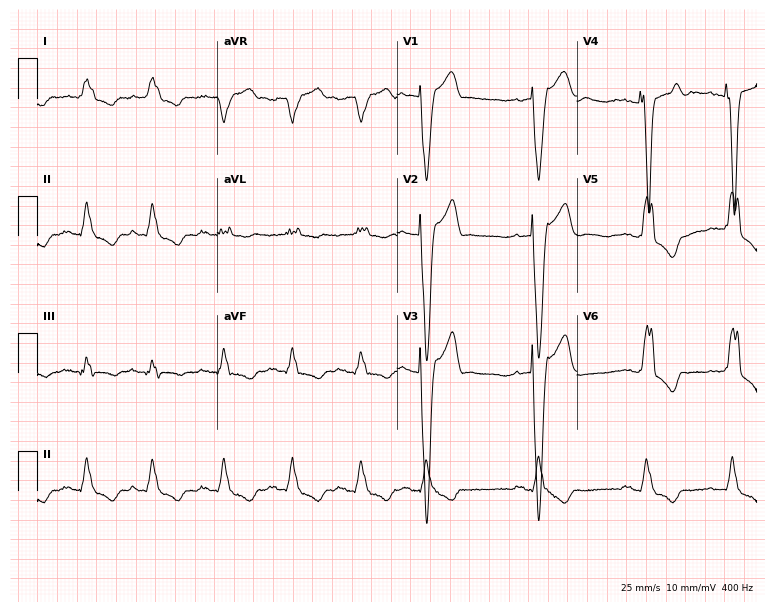
12-lead ECG from a male, 79 years old. Findings include left bundle branch block.